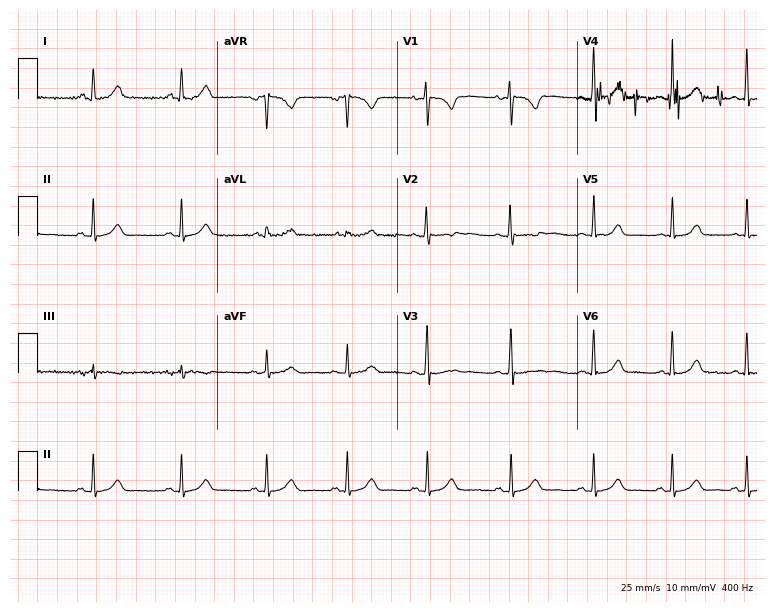
12-lead ECG from a female patient, 27 years old. Recorded interpretation: within normal limits.